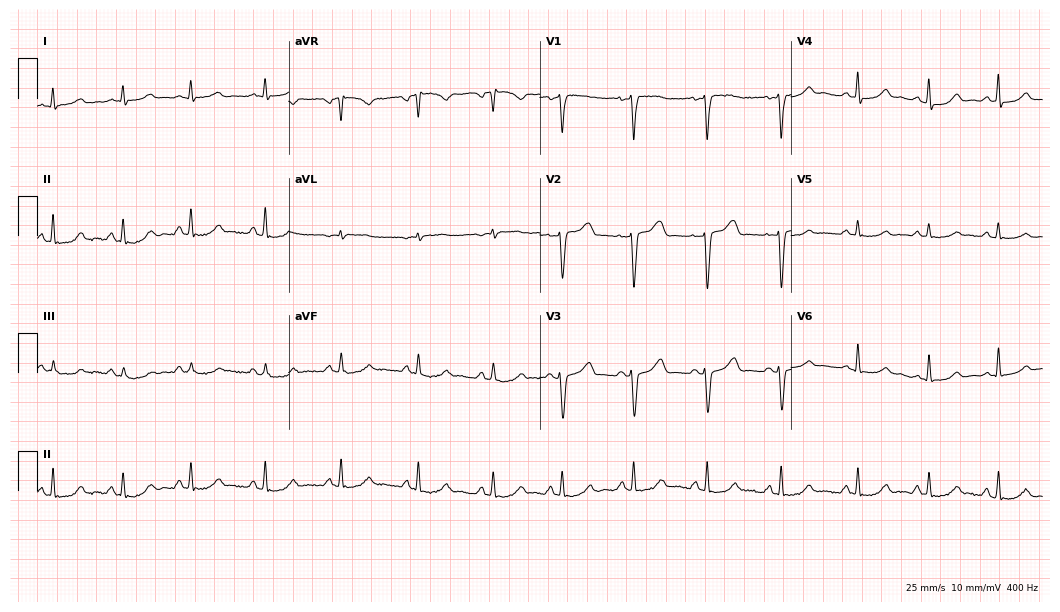
12-lead ECG (10.2-second recording at 400 Hz) from a female, 46 years old. Screened for six findings — first-degree AV block, right bundle branch block, left bundle branch block, sinus bradycardia, atrial fibrillation, sinus tachycardia — none is recorded.